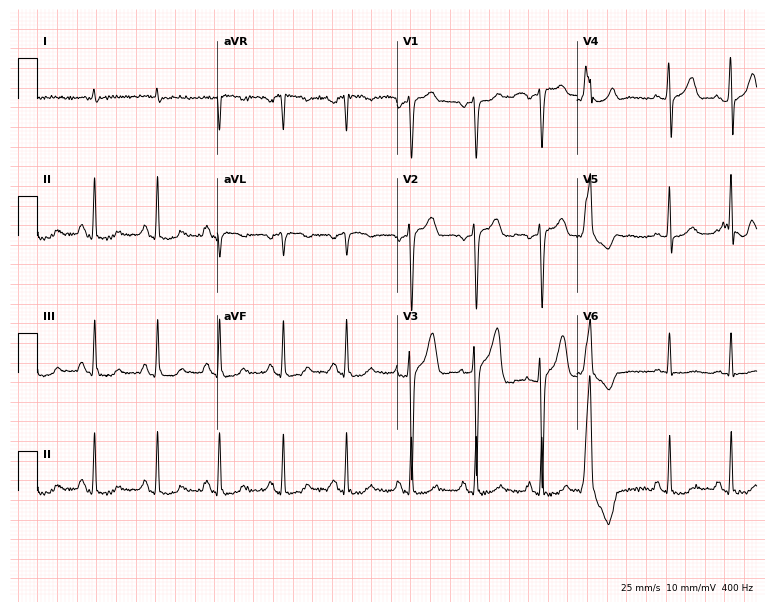
Electrocardiogram (7.3-second recording at 400 Hz), a male, 53 years old. Of the six screened findings (first-degree AV block, right bundle branch block, left bundle branch block, sinus bradycardia, atrial fibrillation, sinus tachycardia), none is recorded. Findings outside these six are not listed.